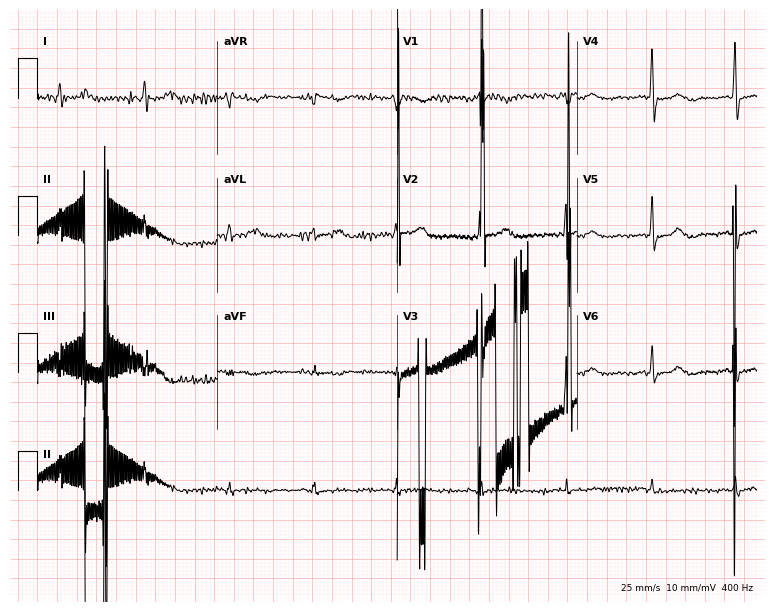
12-lead ECG (7.3-second recording at 400 Hz) from a female, 66 years old. Screened for six findings — first-degree AV block, right bundle branch block (RBBB), left bundle branch block (LBBB), sinus bradycardia, atrial fibrillation (AF), sinus tachycardia — none is recorded.